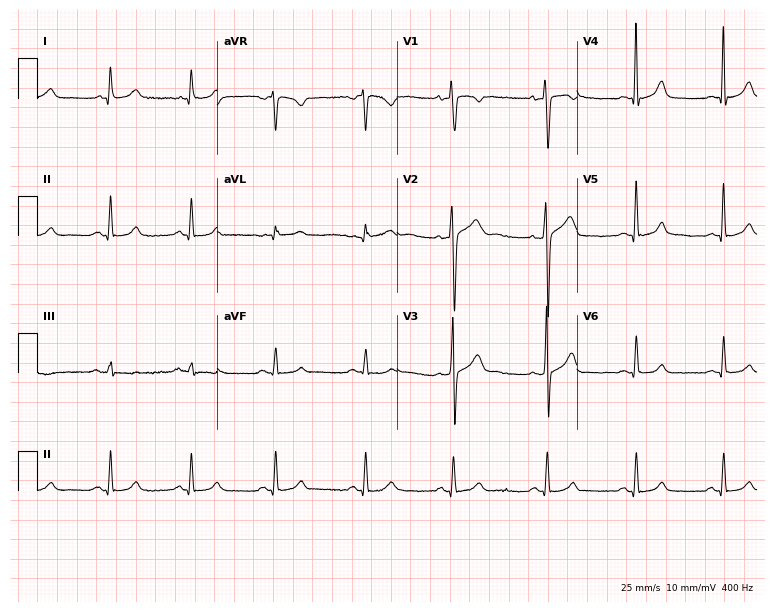
12-lead ECG from a 47-year-old male. Labelled as a normal ECG.